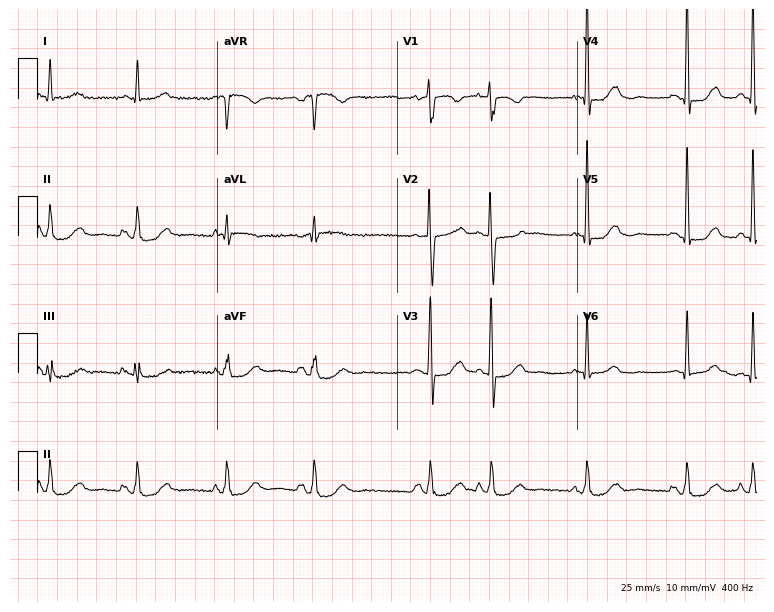
12-lead ECG from a female, 81 years old. Labelled as a normal ECG.